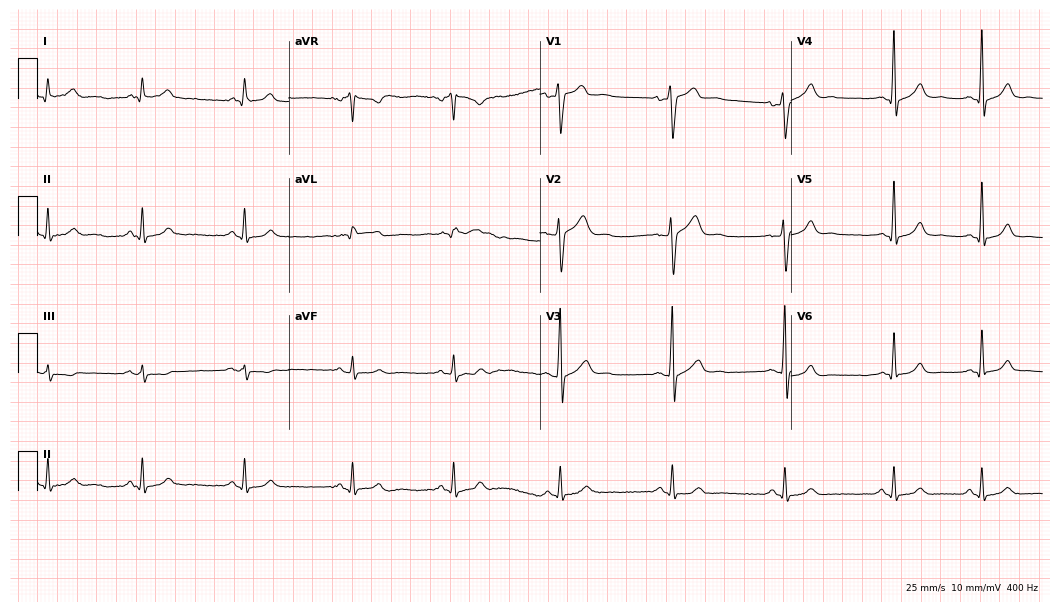
ECG (10.2-second recording at 400 Hz) — a male, 34 years old. Labelled as a normal ECG.